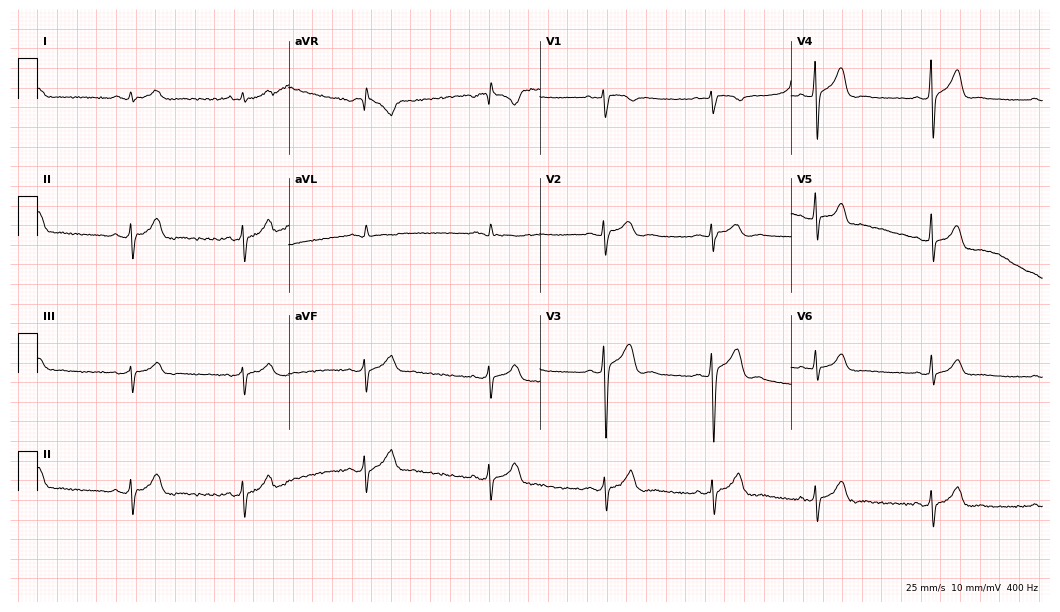
Electrocardiogram (10.2-second recording at 400 Hz), a man, 24 years old. Of the six screened findings (first-degree AV block, right bundle branch block (RBBB), left bundle branch block (LBBB), sinus bradycardia, atrial fibrillation (AF), sinus tachycardia), none is recorded. Findings outside these six are not listed.